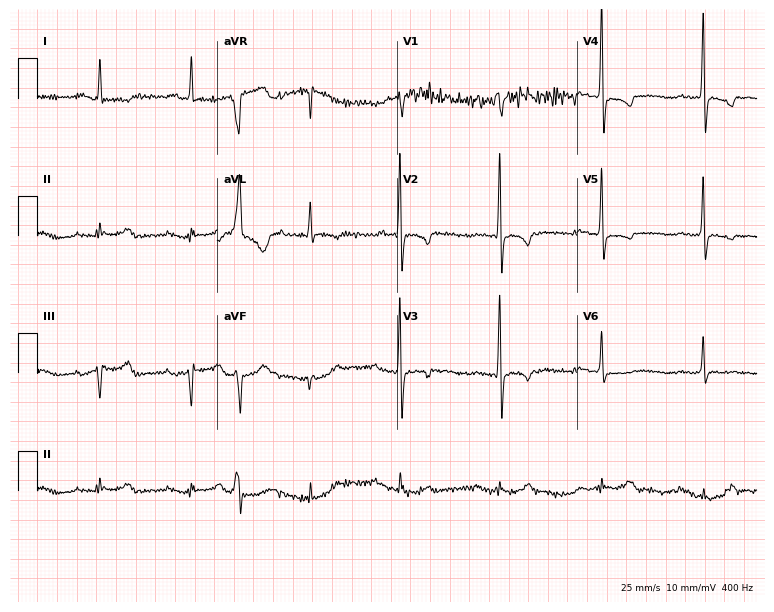
12-lead ECG from an 85-year-old male. Screened for six findings — first-degree AV block, right bundle branch block, left bundle branch block, sinus bradycardia, atrial fibrillation, sinus tachycardia — none is recorded. Other findings, if any, are not listed.